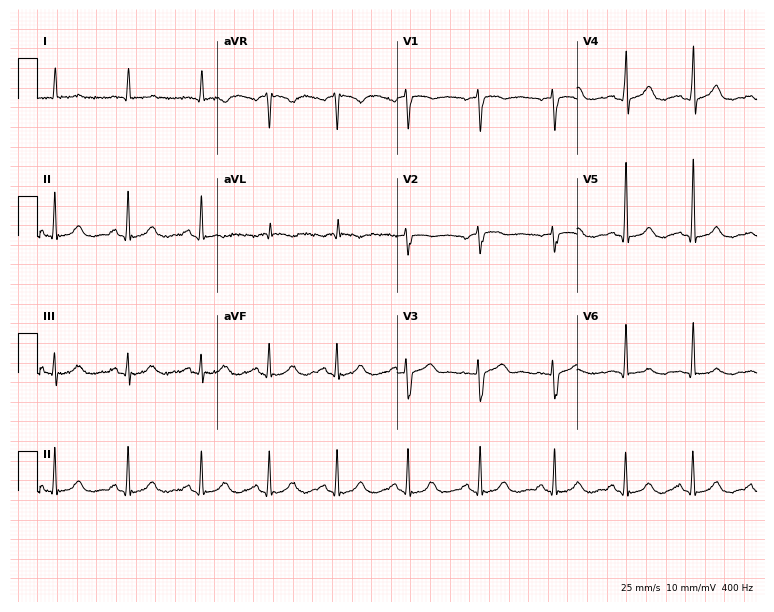
12-lead ECG (7.3-second recording at 400 Hz) from a female patient, 84 years old. Screened for six findings — first-degree AV block, right bundle branch block (RBBB), left bundle branch block (LBBB), sinus bradycardia, atrial fibrillation (AF), sinus tachycardia — none is recorded. Only these six findings were labelled.